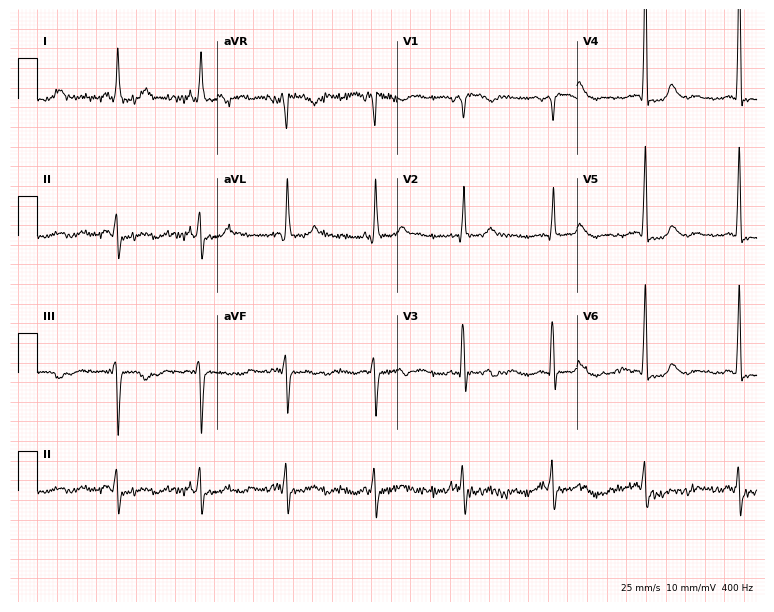
12-lead ECG from a 59-year-old female. No first-degree AV block, right bundle branch block (RBBB), left bundle branch block (LBBB), sinus bradycardia, atrial fibrillation (AF) or sinus tachycardia recorded for this tracing.